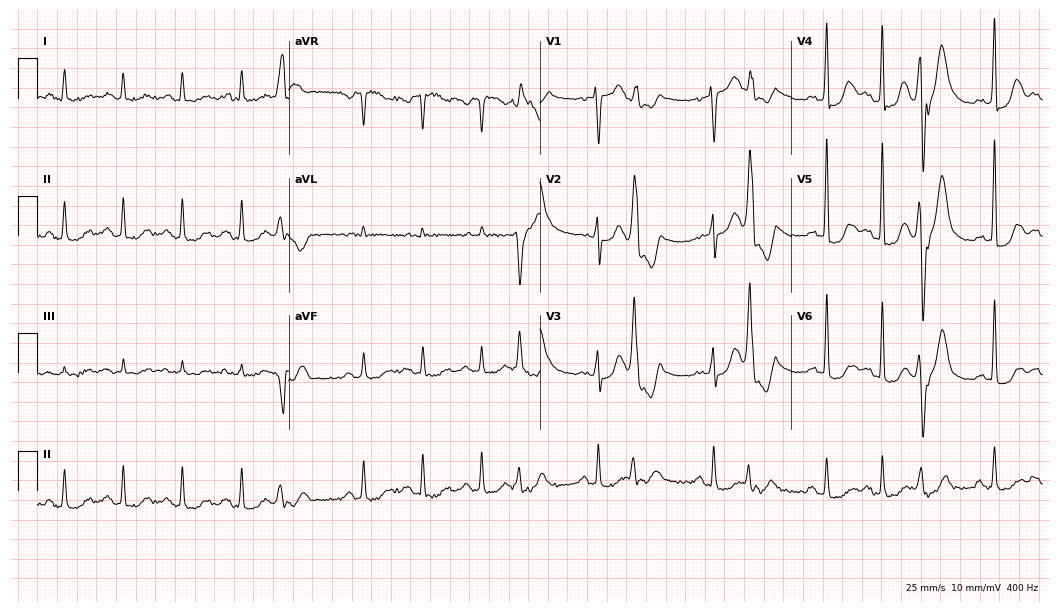
12-lead ECG (10.2-second recording at 400 Hz) from a 78-year-old woman. Screened for six findings — first-degree AV block, right bundle branch block (RBBB), left bundle branch block (LBBB), sinus bradycardia, atrial fibrillation (AF), sinus tachycardia — none is recorded. Only these six findings were labelled.